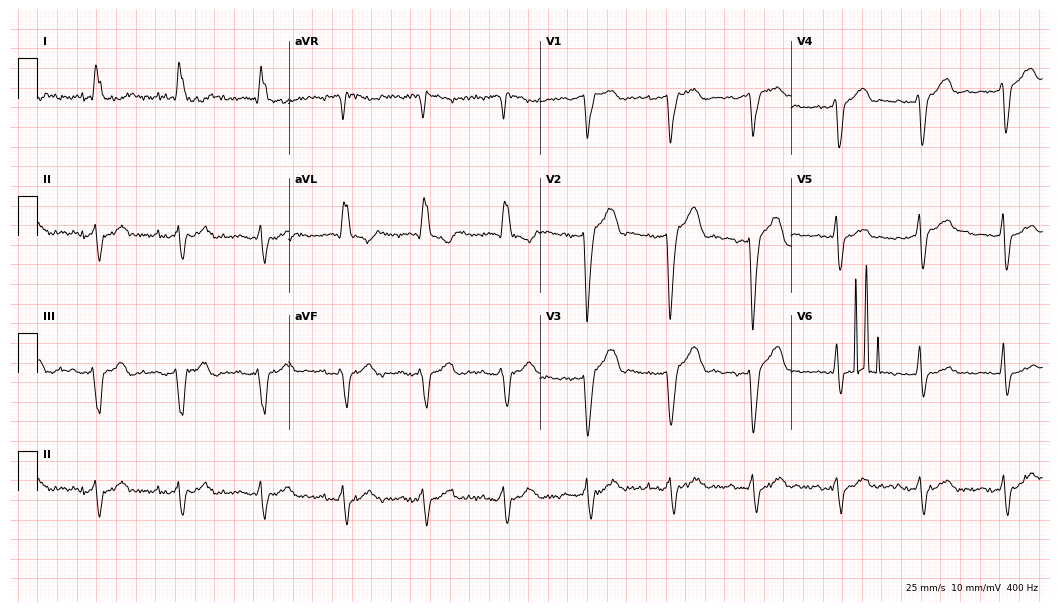
12-lead ECG from a 77-year-old male patient (10.2-second recording at 400 Hz). Shows left bundle branch block (LBBB).